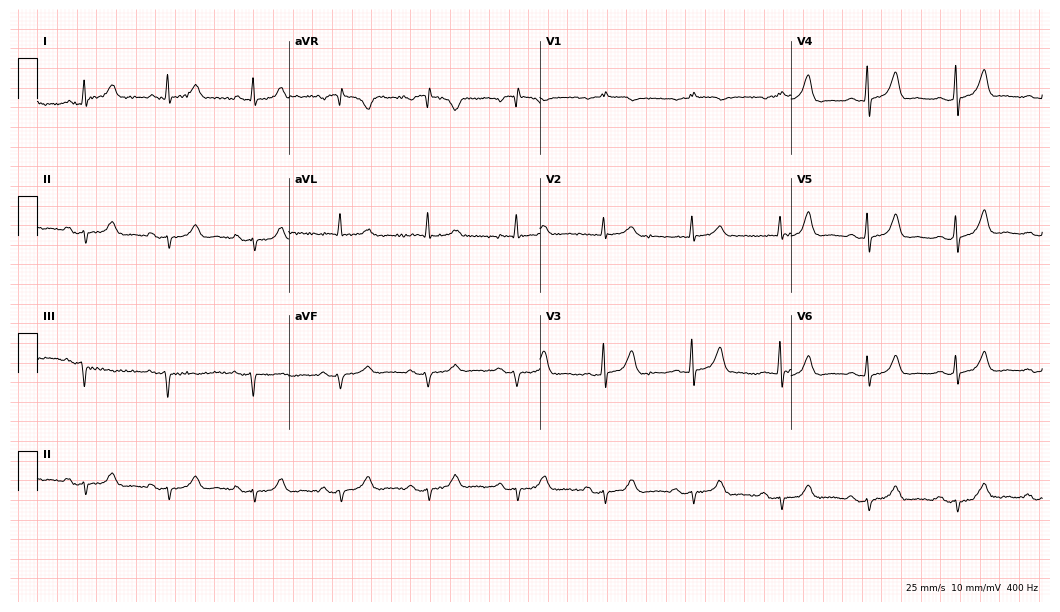
Electrocardiogram (10.2-second recording at 400 Hz), a 79-year-old female patient. Of the six screened findings (first-degree AV block, right bundle branch block (RBBB), left bundle branch block (LBBB), sinus bradycardia, atrial fibrillation (AF), sinus tachycardia), none is recorded. Only these six findings were labelled.